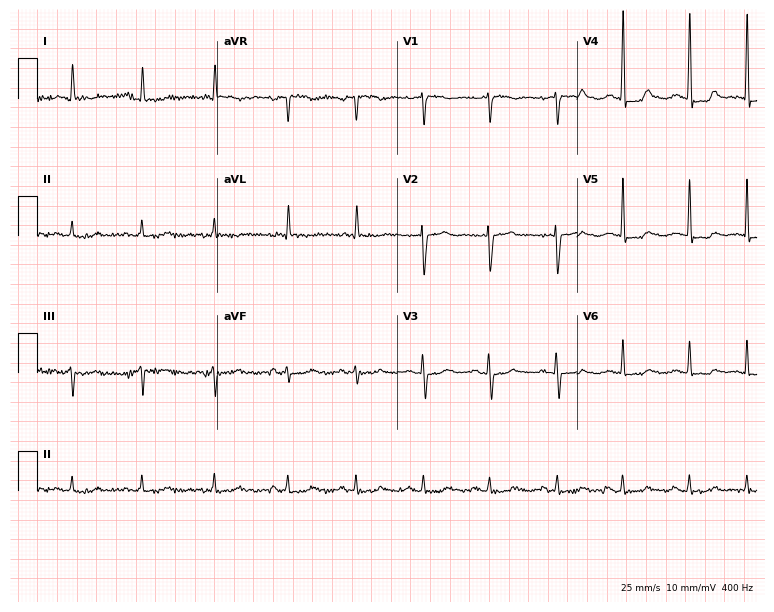
ECG — an 85-year-old woman. Screened for six findings — first-degree AV block, right bundle branch block (RBBB), left bundle branch block (LBBB), sinus bradycardia, atrial fibrillation (AF), sinus tachycardia — none is recorded. Findings outside these six are not listed.